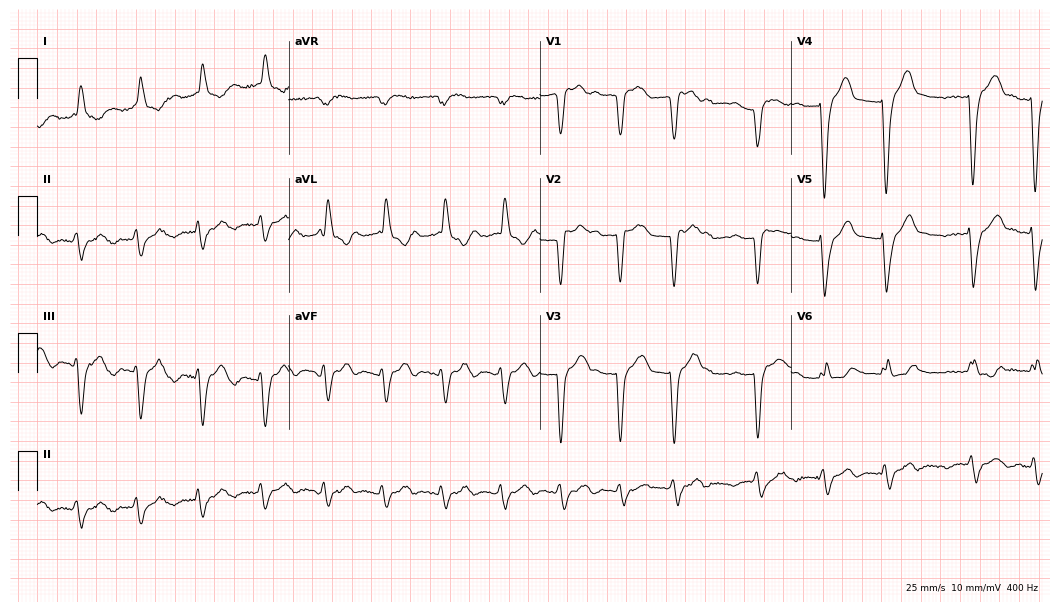
Resting 12-lead electrocardiogram. Patient: a man, 80 years old. The tracing shows left bundle branch block, atrial fibrillation.